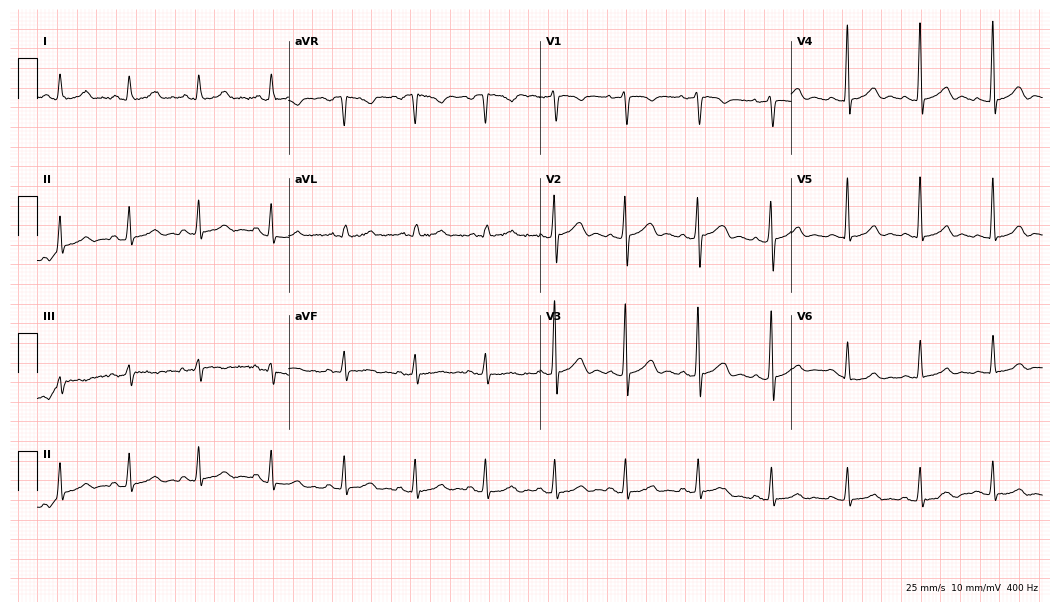
ECG (10.2-second recording at 400 Hz) — a 40-year-old female patient. Labelled as a normal ECG.